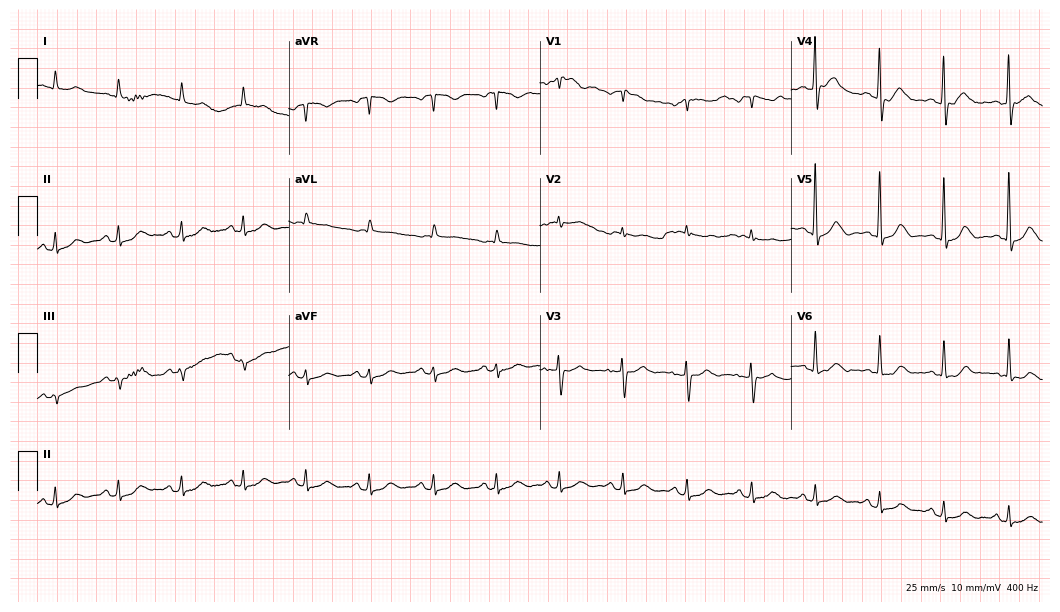
Electrocardiogram, an 80-year-old female patient. Of the six screened findings (first-degree AV block, right bundle branch block (RBBB), left bundle branch block (LBBB), sinus bradycardia, atrial fibrillation (AF), sinus tachycardia), none is recorded.